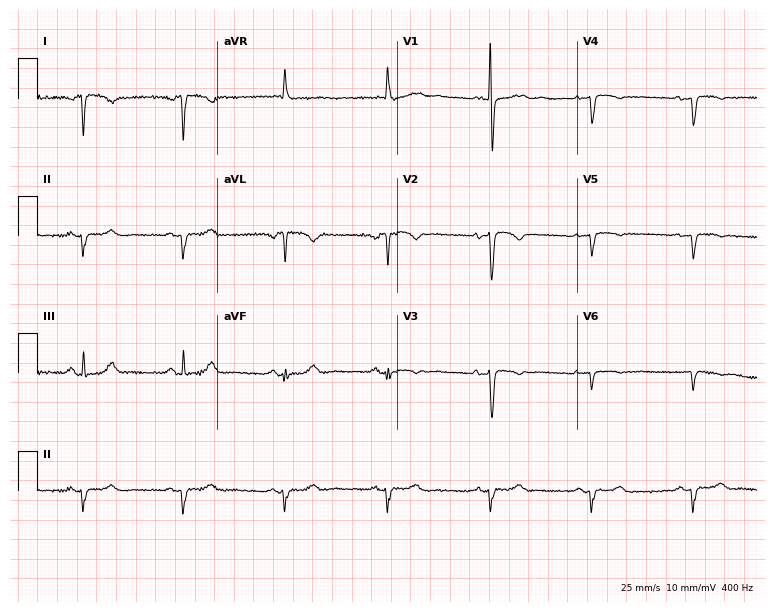
Electrocardiogram, a 74-year-old female. Of the six screened findings (first-degree AV block, right bundle branch block, left bundle branch block, sinus bradycardia, atrial fibrillation, sinus tachycardia), none is recorded.